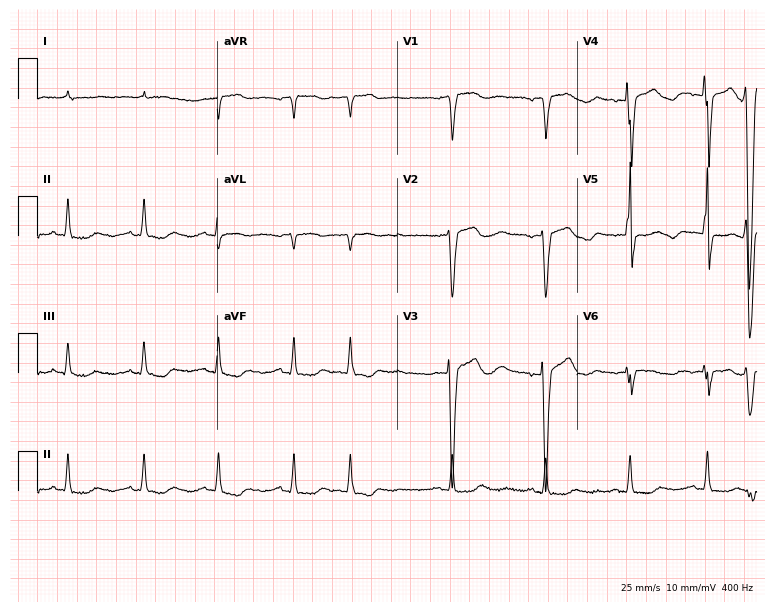
Electrocardiogram (7.3-second recording at 400 Hz), a male, 82 years old. Of the six screened findings (first-degree AV block, right bundle branch block, left bundle branch block, sinus bradycardia, atrial fibrillation, sinus tachycardia), none is recorded.